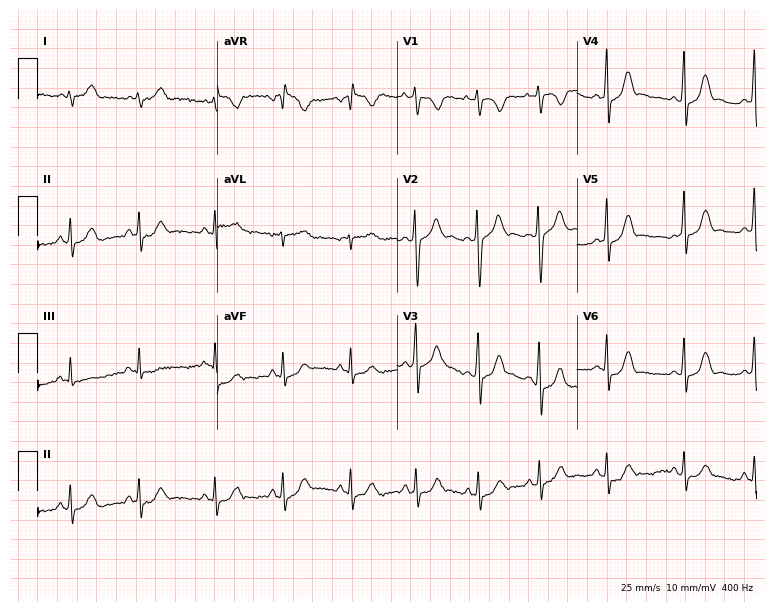
12-lead ECG from a 20-year-old female. Screened for six findings — first-degree AV block, right bundle branch block, left bundle branch block, sinus bradycardia, atrial fibrillation, sinus tachycardia — none is recorded. Findings outside these six are not listed.